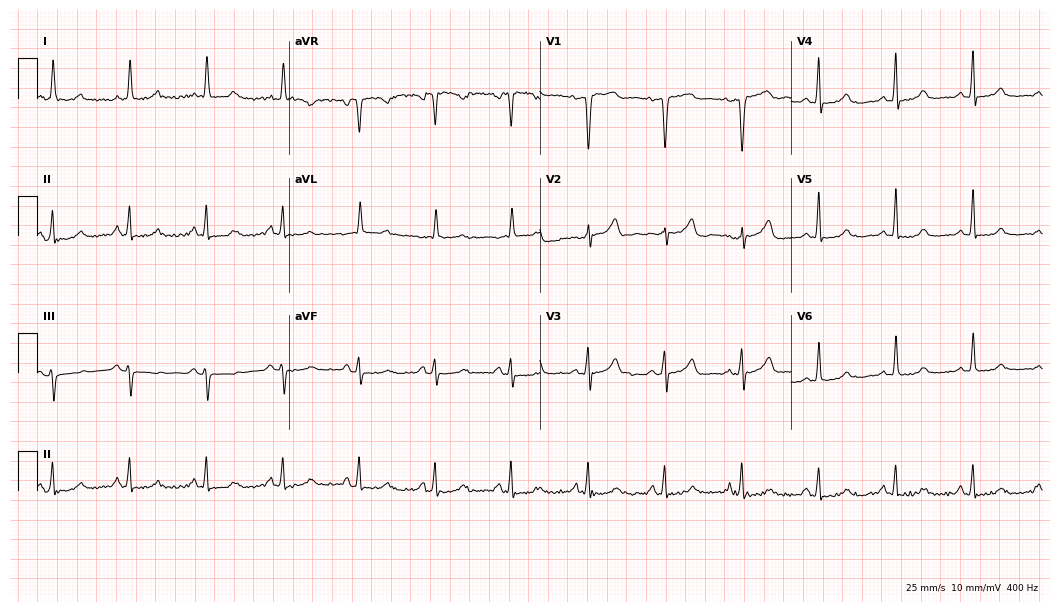
Standard 12-lead ECG recorded from a female patient, 78 years old (10.2-second recording at 400 Hz). Read as a normal ECG.